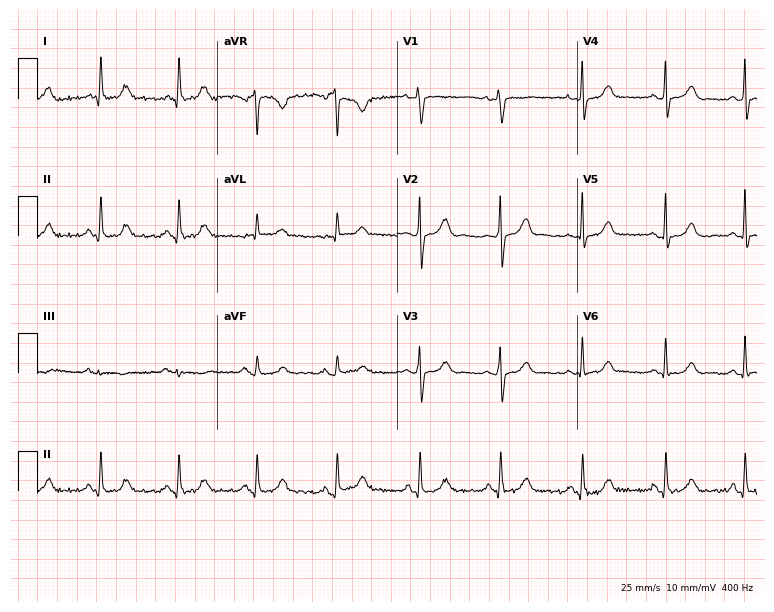
ECG — a female, 46 years old. Labelled as a normal ECG.